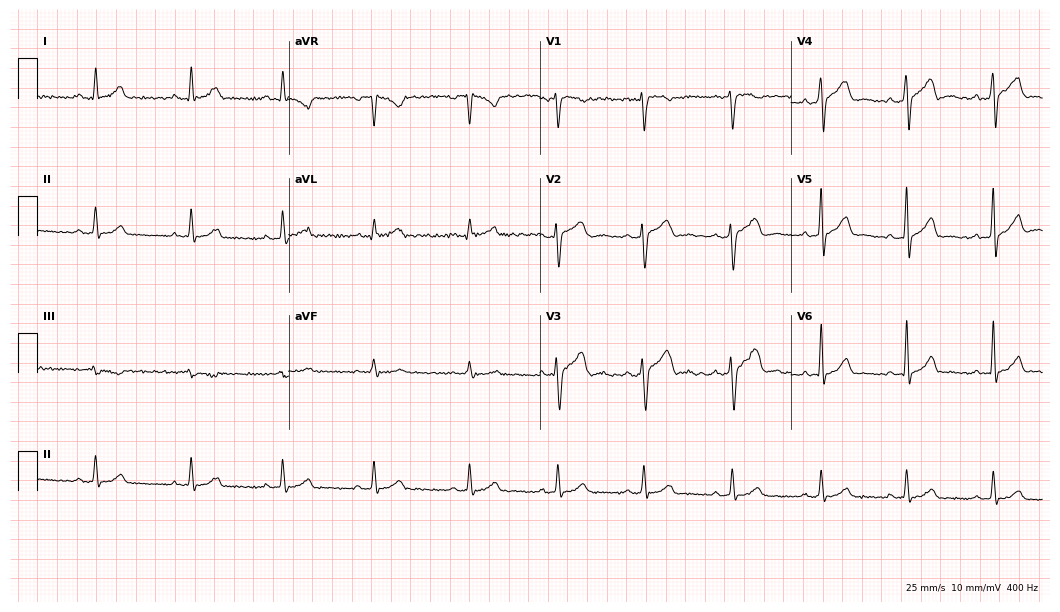
ECG — a man, 31 years old. Labelled as a normal ECG.